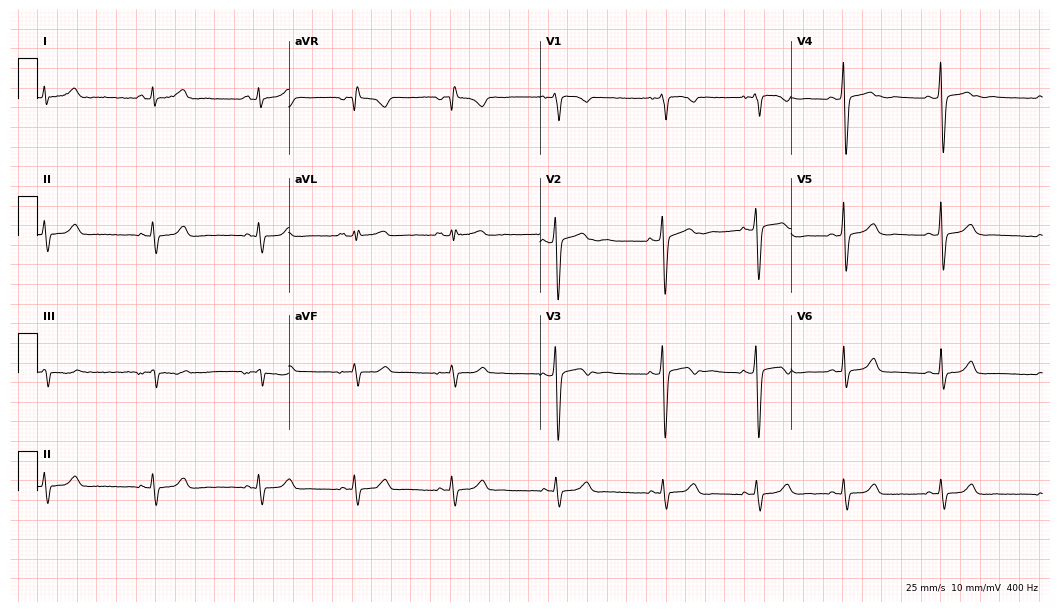
12-lead ECG from a woman, 20 years old. Labelled as a normal ECG.